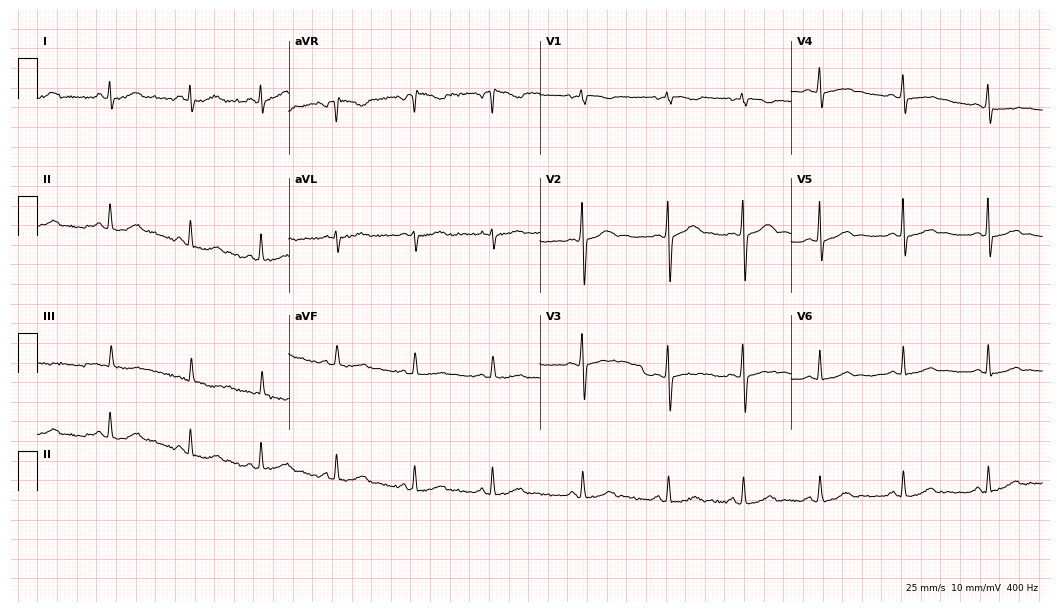
12-lead ECG from a female patient, 24 years old. Screened for six findings — first-degree AV block, right bundle branch block, left bundle branch block, sinus bradycardia, atrial fibrillation, sinus tachycardia — none is recorded.